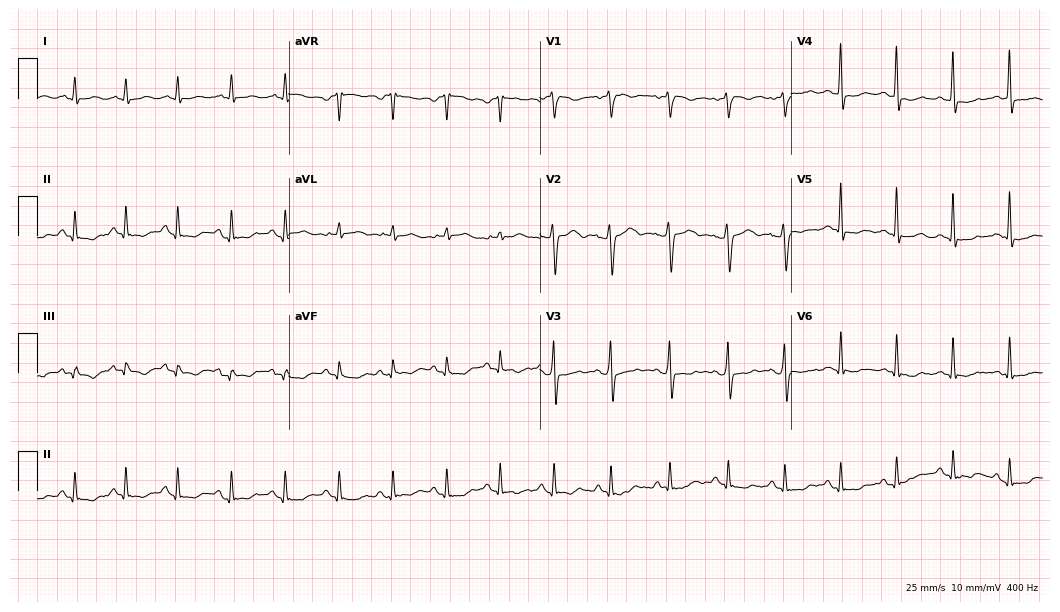
Resting 12-lead electrocardiogram. Patient: a female, 34 years old. The tracing shows sinus tachycardia (a sinus rate of 100 beats per minute or more).